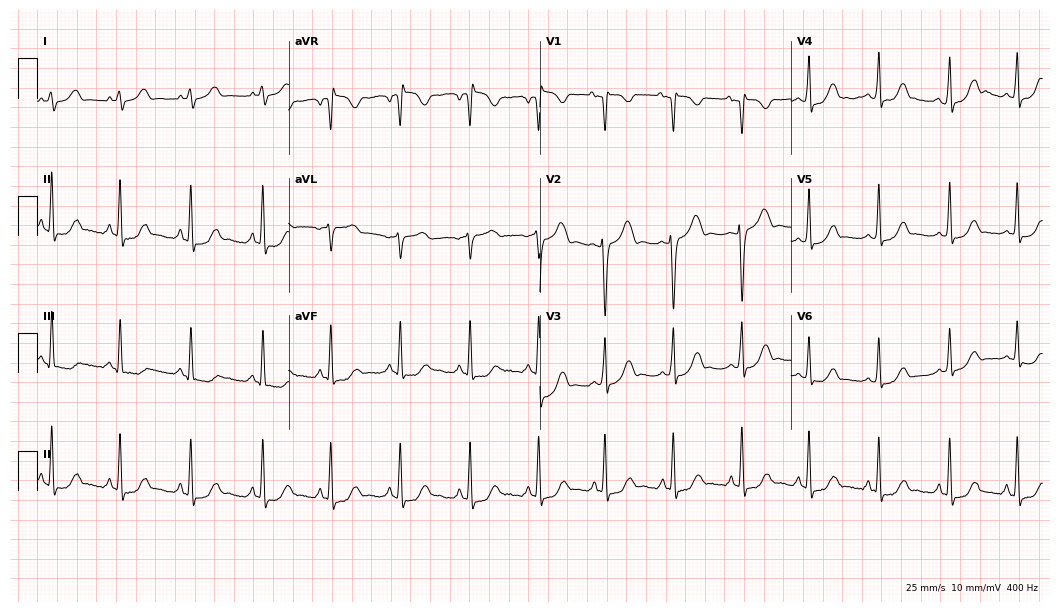
Resting 12-lead electrocardiogram. Patient: a female, 24 years old. None of these six findings is recorded: first-degree AV block, right bundle branch block (RBBB), left bundle branch block (LBBB), sinus bradycardia, atrial fibrillation (AF), sinus tachycardia. Other findings, if any, are not listed.